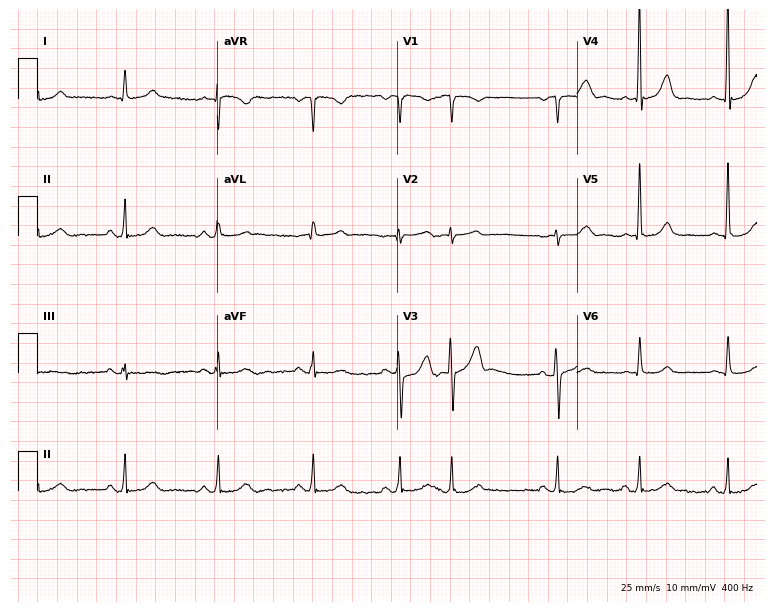
Standard 12-lead ECG recorded from a male, 58 years old. None of these six findings is recorded: first-degree AV block, right bundle branch block (RBBB), left bundle branch block (LBBB), sinus bradycardia, atrial fibrillation (AF), sinus tachycardia.